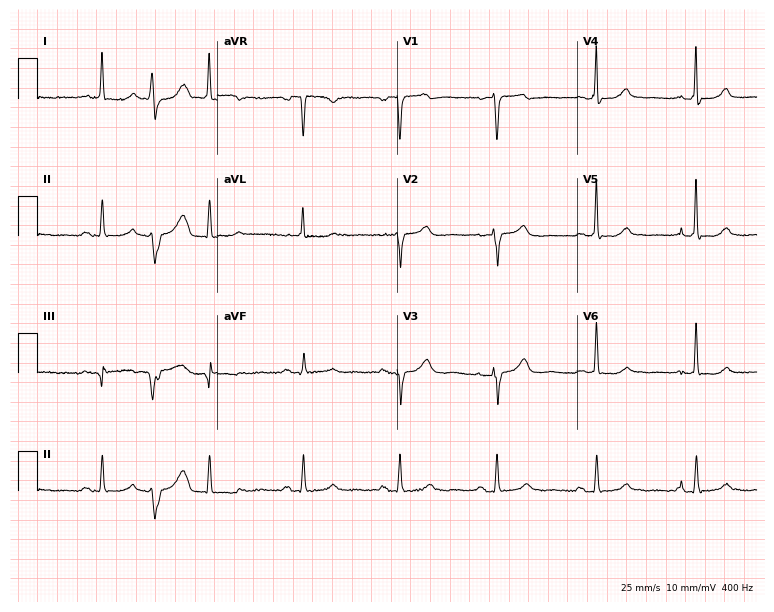
Electrocardiogram (7.3-second recording at 400 Hz), a 79-year-old female. Overall reading on record: normal ECG.